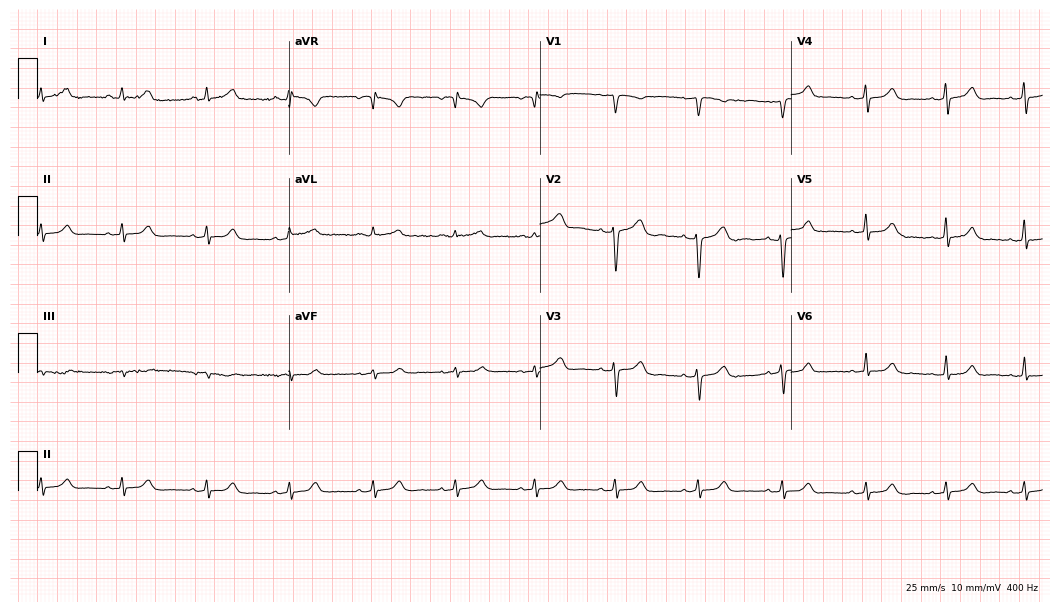
12-lead ECG from a female patient, 30 years old. Labelled as a normal ECG.